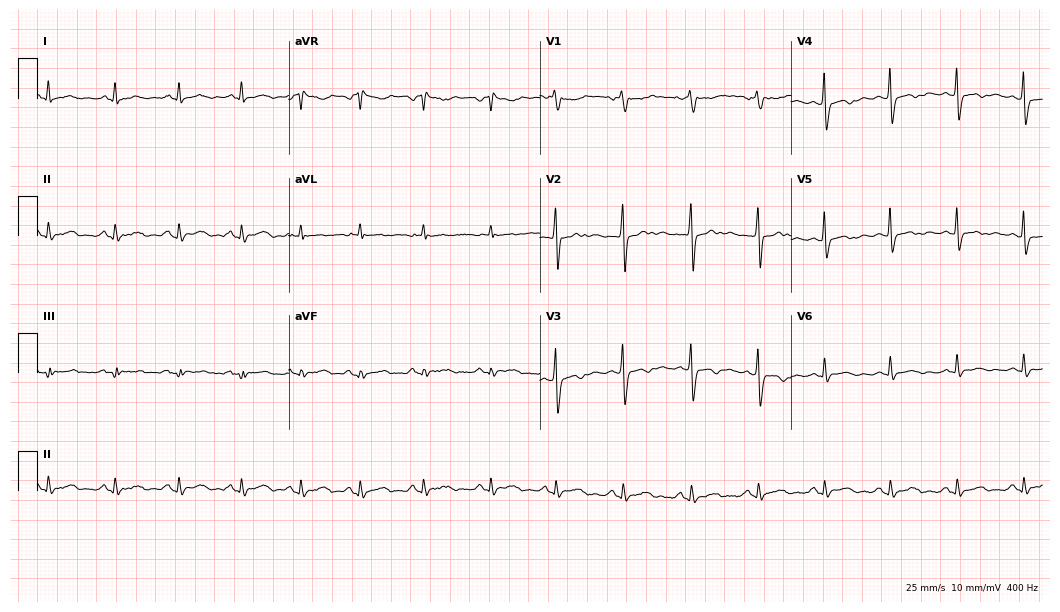
12-lead ECG from a female, 42 years old (10.2-second recording at 400 Hz). No first-degree AV block, right bundle branch block (RBBB), left bundle branch block (LBBB), sinus bradycardia, atrial fibrillation (AF) or sinus tachycardia recorded for this tracing.